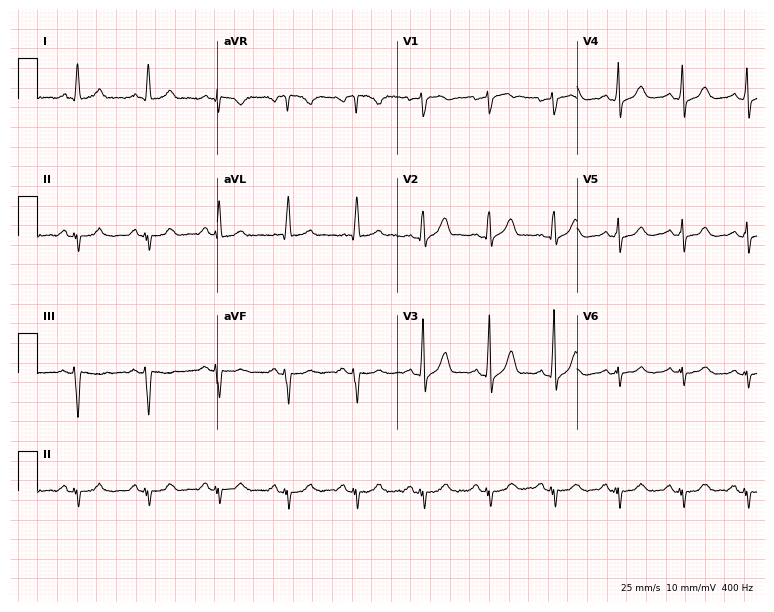
Resting 12-lead electrocardiogram (7.3-second recording at 400 Hz). Patient: a 71-year-old male. None of these six findings is recorded: first-degree AV block, right bundle branch block, left bundle branch block, sinus bradycardia, atrial fibrillation, sinus tachycardia. Other findings, if any, are not listed.